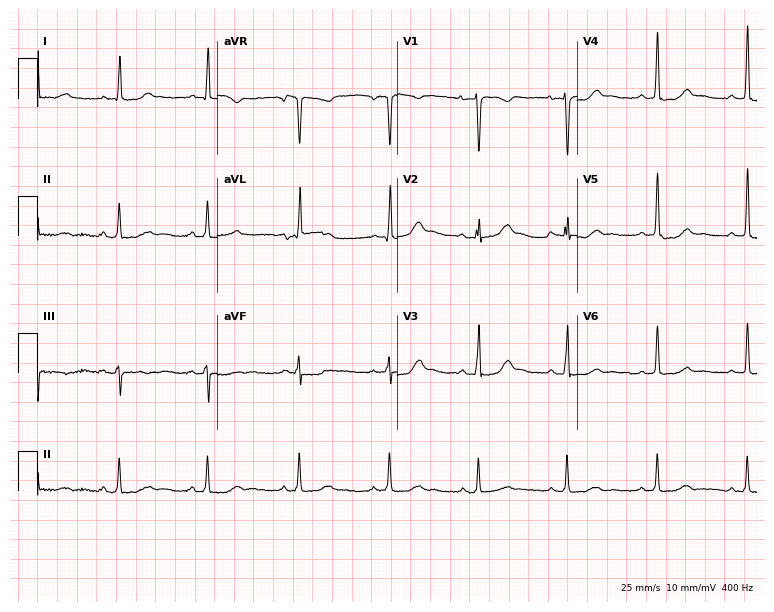
Electrocardiogram, a 46-year-old woman. Of the six screened findings (first-degree AV block, right bundle branch block (RBBB), left bundle branch block (LBBB), sinus bradycardia, atrial fibrillation (AF), sinus tachycardia), none is recorded.